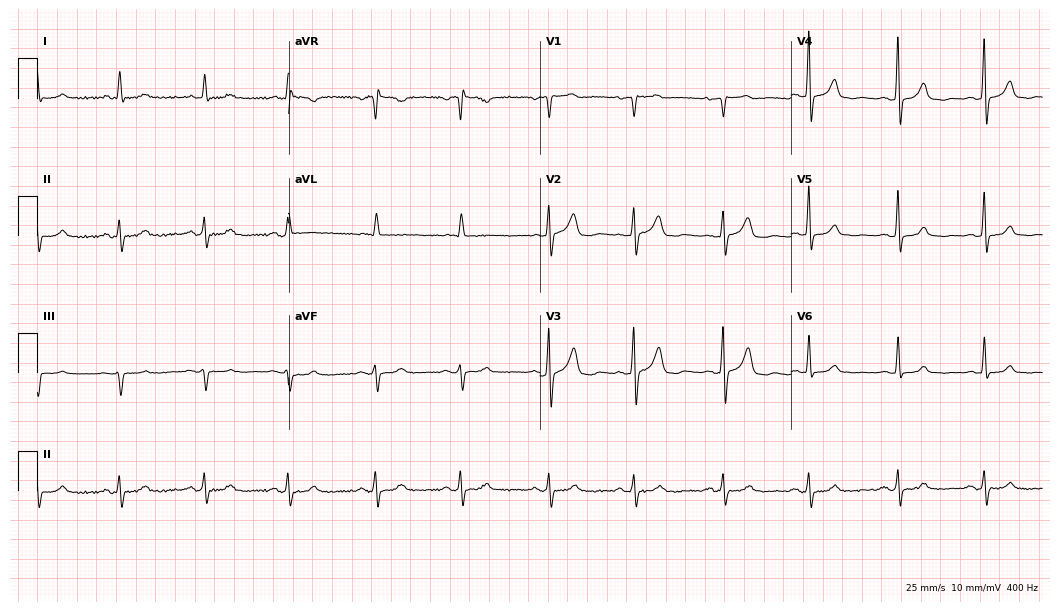
Electrocardiogram (10.2-second recording at 400 Hz), a 76-year-old female. Overall reading on record: normal ECG.